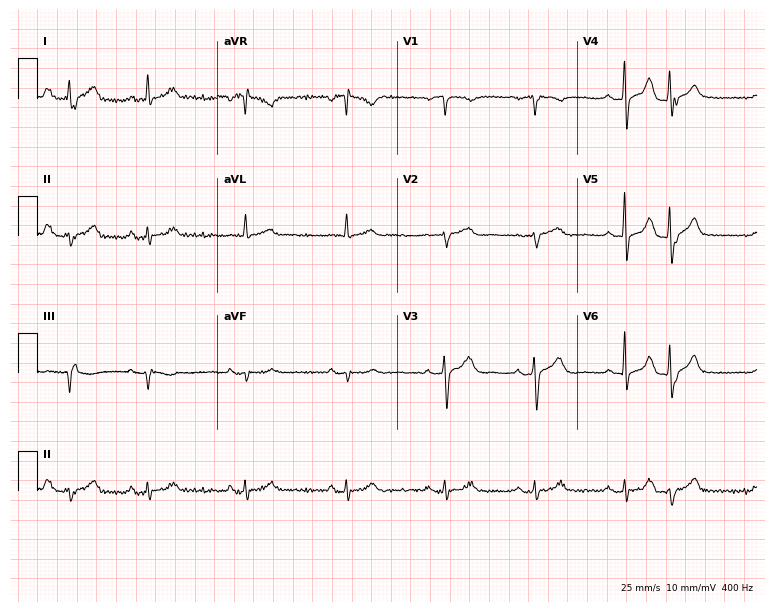
12-lead ECG from a 60-year-old male (7.3-second recording at 400 Hz). No first-degree AV block, right bundle branch block, left bundle branch block, sinus bradycardia, atrial fibrillation or sinus tachycardia recorded for this tracing. Only these six findings were labelled.